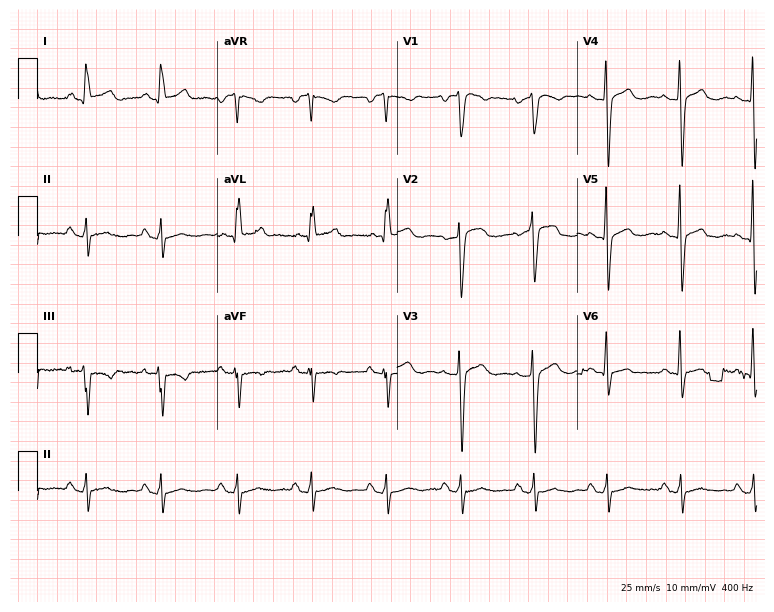
Resting 12-lead electrocardiogram (7.3-second recording at 400 Hz). Patient: a 58-year-old woman. Read as a normal ECG.